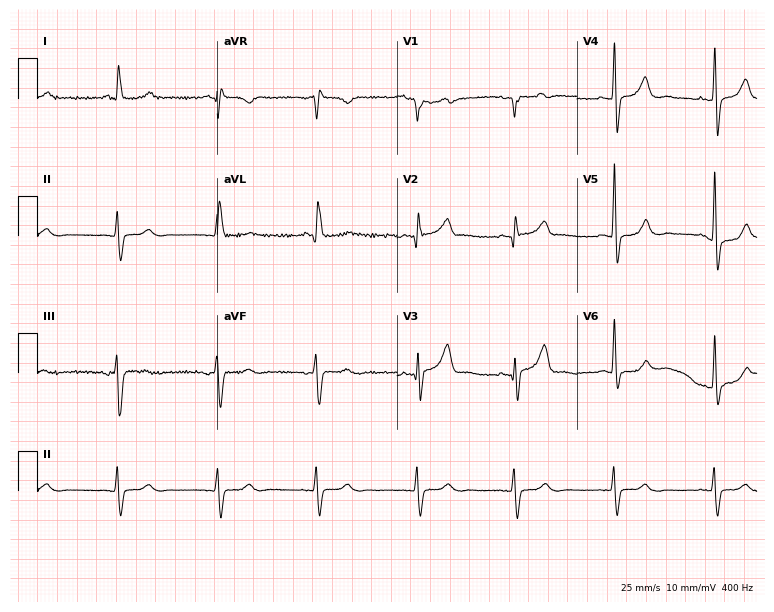
ECG (7.3-second recording at 400 Hz) — an 83-year-old male patient. Screened for six findings — first-degree AV block, right bundle branch block, left bundle branch block, sinus bradycardia, atrial fibrillation, sinus tachycardia — none is recorded.